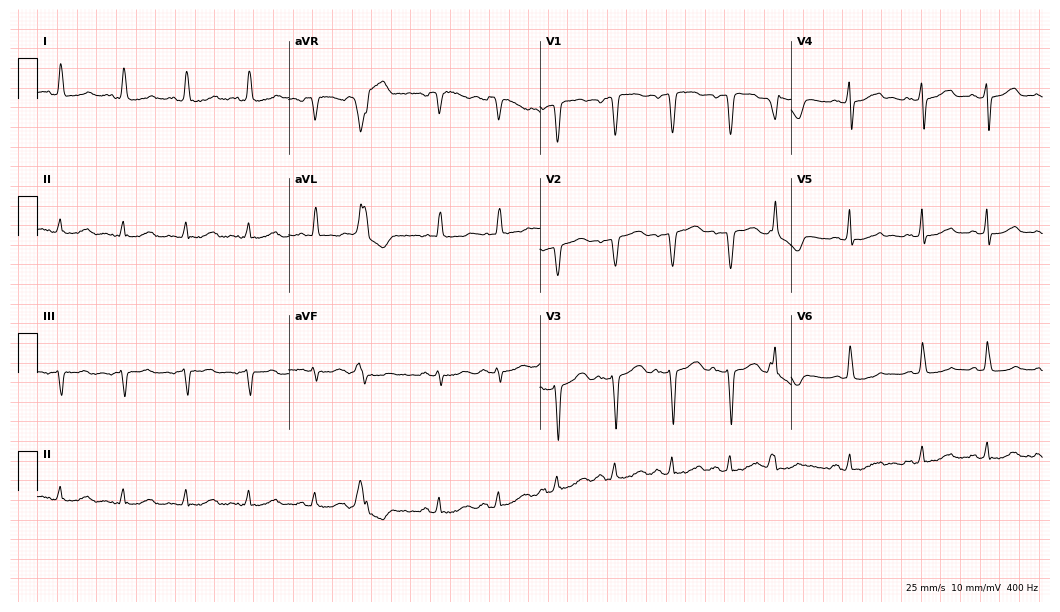
ECG (10.2-second recording at 400 Hz) — a 56-year-old woman. Screened for six findings — first-degree AV block, right bundle branch block (RBBB), left bundle branch block (LBBB), sinus bradycardia, atrial fibrillation (AF), sinus tachycardia — none is recorded.